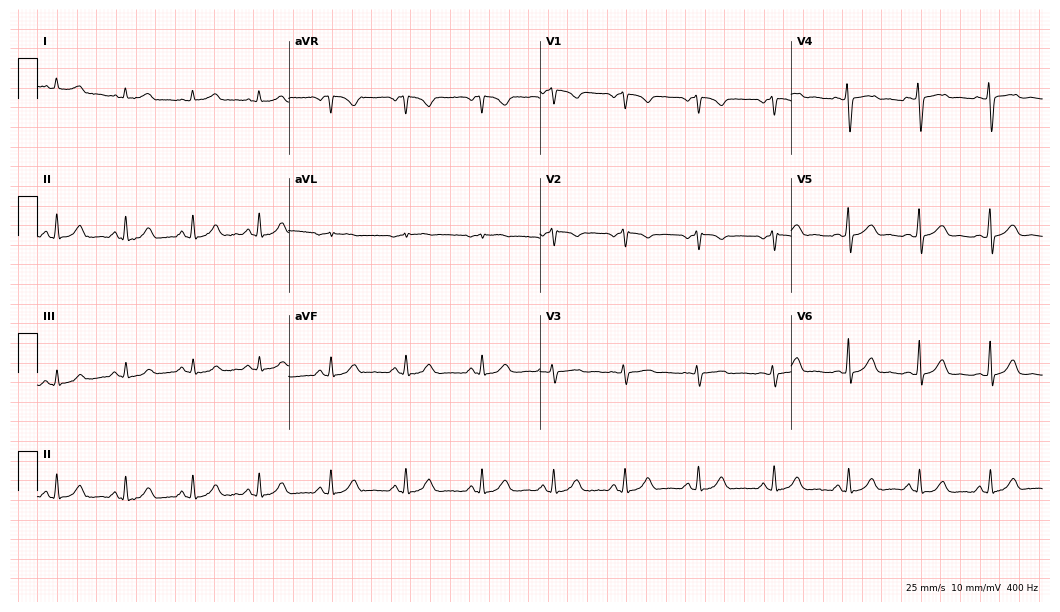
Resting 12-lead electrocardiogram (10.2-second recording at 400 Hz). Patient: a female, 41 years old. Read as a normal ECG.